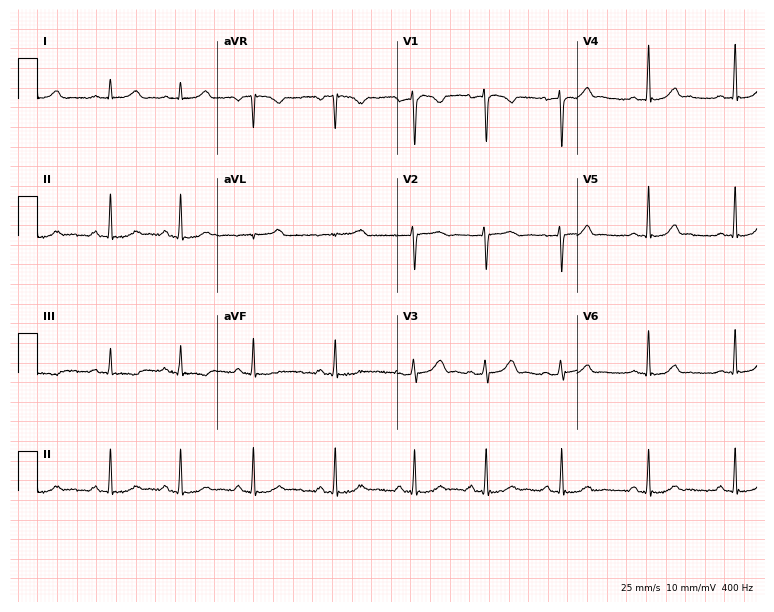
Standard 12-lead ECG recorded from a 20-year-old female patient. Read as a normal ECG.